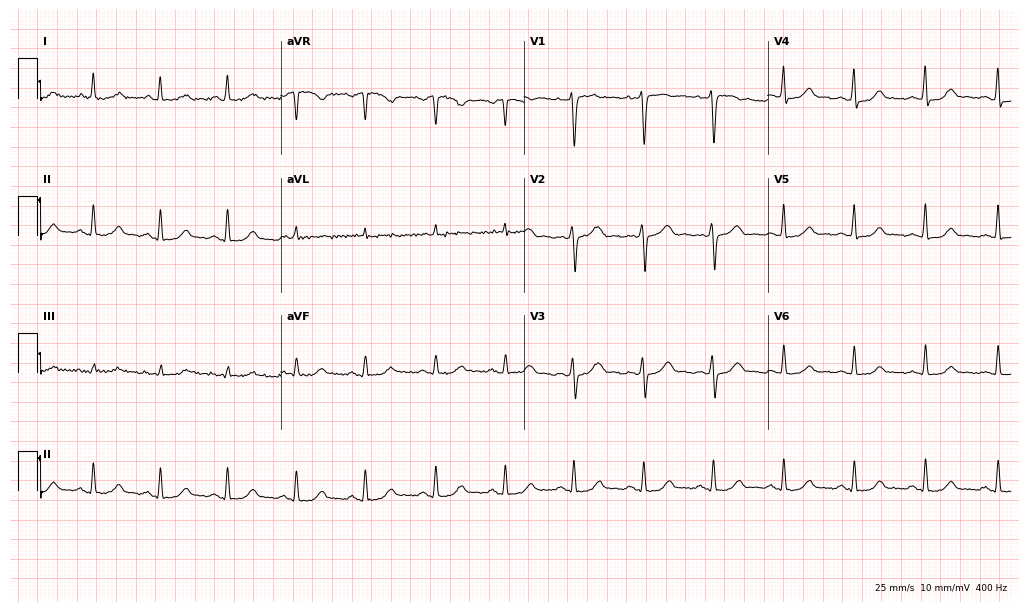
12-lead ECG from a female, 44 years old (9.9-second recording at 400 Hz). Recorded interpretation: within normal limits.